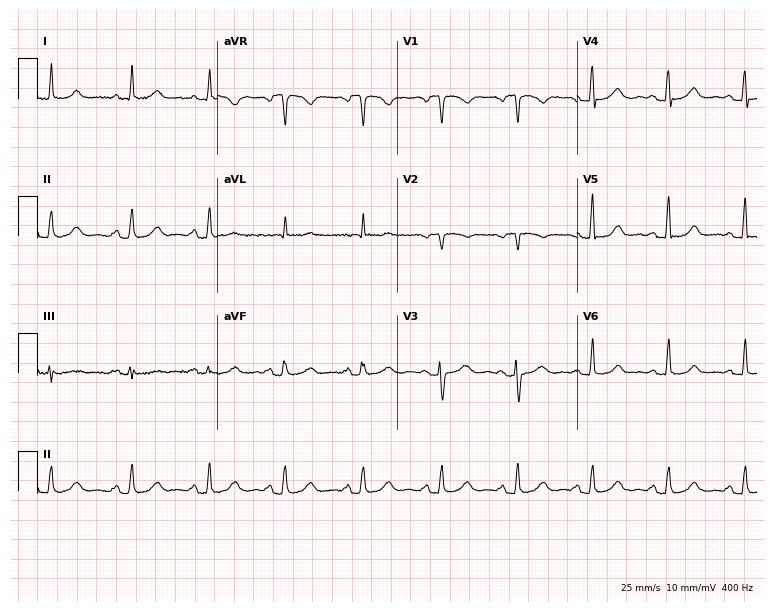
Standard 12-lead ECG recorded from a female, 71 years old (7.3-second recording at 400 Hz). Read as a normal ECG.